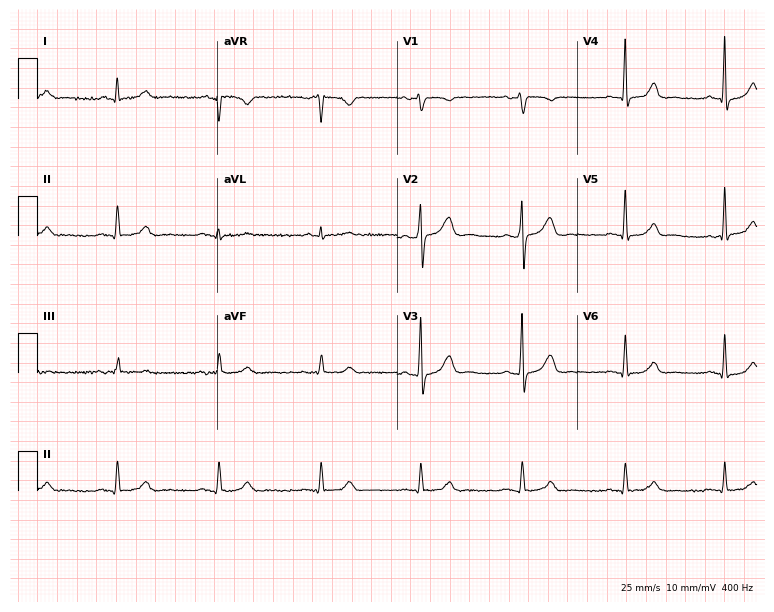
12-lead ECG from a man, 71 years old. Recorded interpretation: within normal limits.